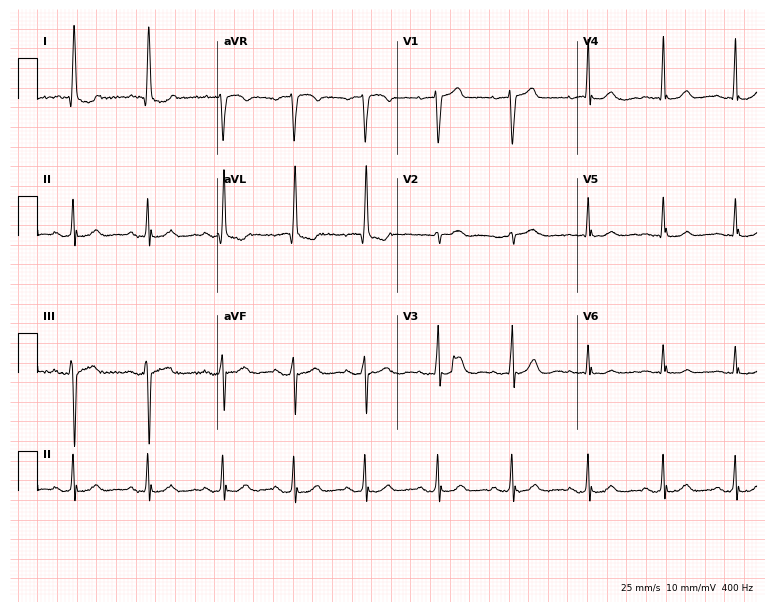
Resting 12-lead electrocardiogram. Patient: an 83-year-old female. None of these six findings is recorded: first-degree AV block, right bundle branch block (RBBB), left bundle branch block (LBBB), sinus bradycardia, atrial fibrillation (AF), sinus tachycardia. Only these six findings were labelled.